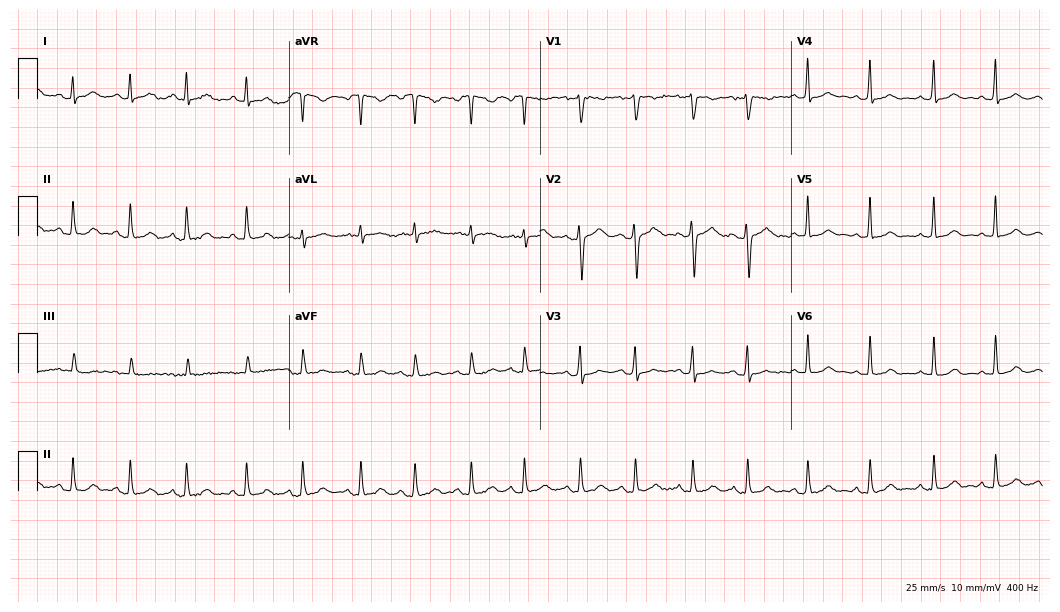
12-lead ECG from a 25-year-old female. Screened for six findings — first-degree AV block, right bundle branch block, left bundle branch block, sinus bradycardia, atrial fibrillation, sinus tachycardia — none is recorded. Only these six findings were labelled.